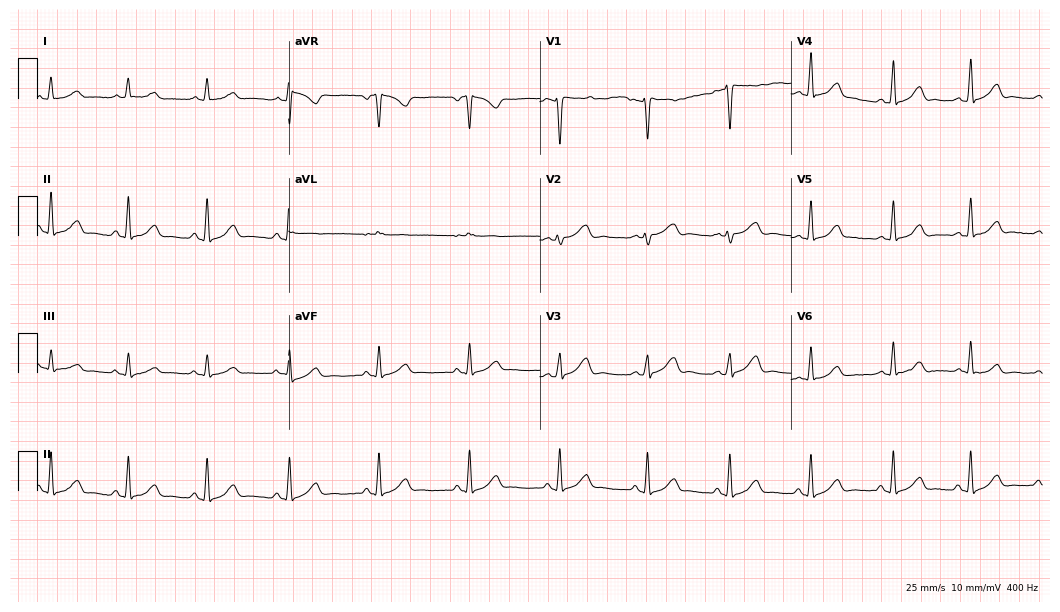
ECG (10.2-second recording at 400 Hz) — a 33-year-old female patient. Labelled as a normal ECG.